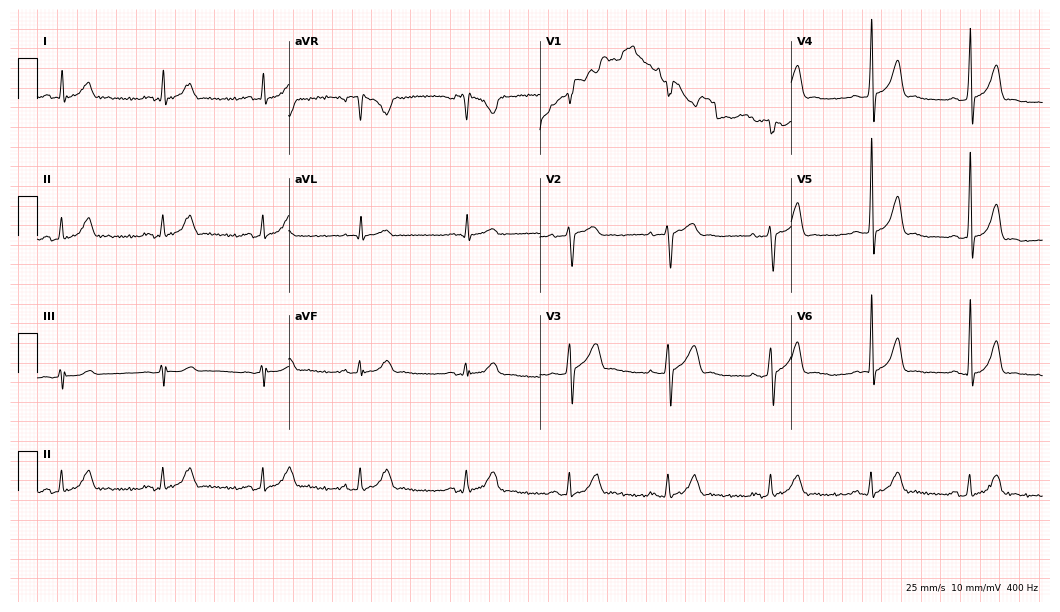
12-lead ECG from a man, 48 years old (10.2-second recording at 400 Hz). Recorded interpretation: within normal limits.